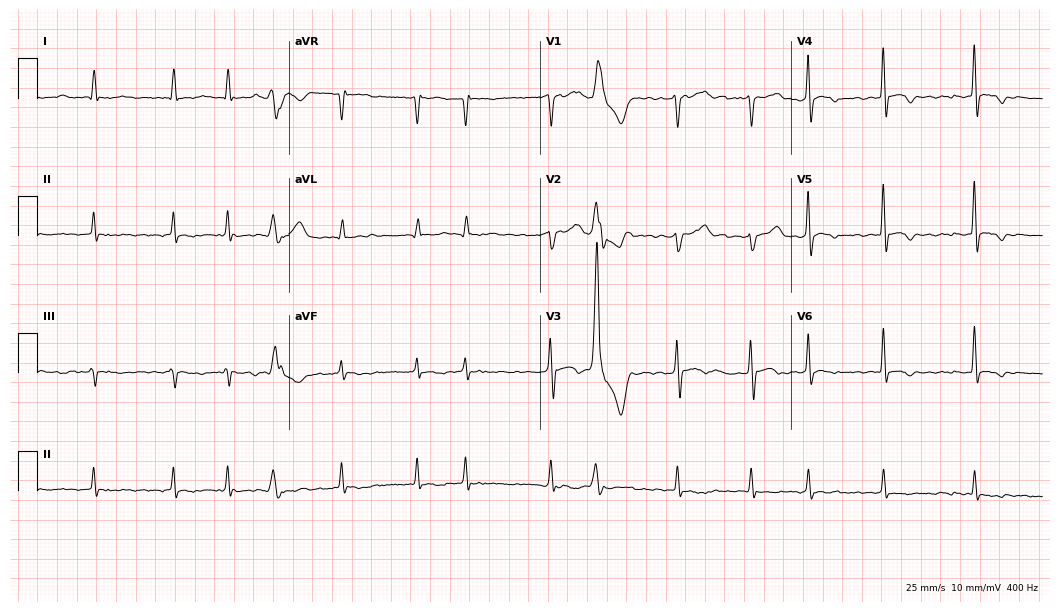
12-lead ECG from a 57-year-old man (10.2-second recording at 400 Hz). Shows atrial fibrillation.